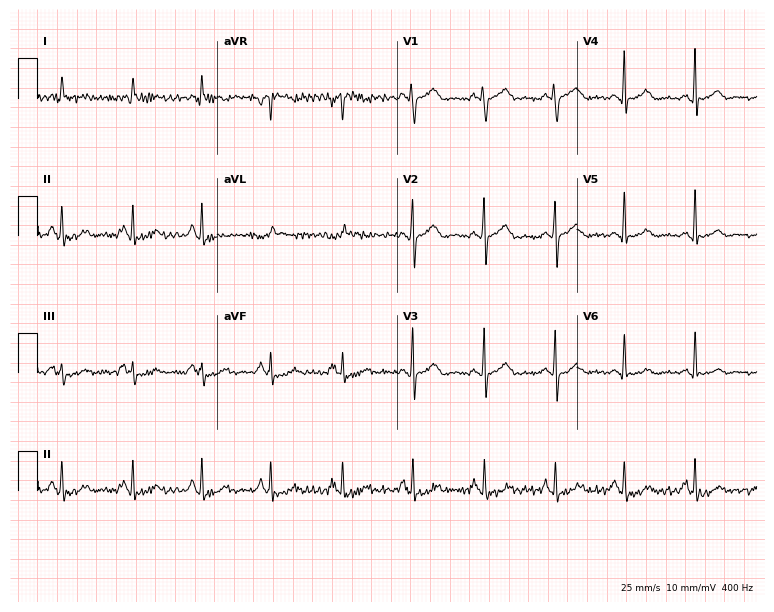
Resting 12-lead electrocardiogram. Patient: a man, 25 years old. Read as a normal ECG.